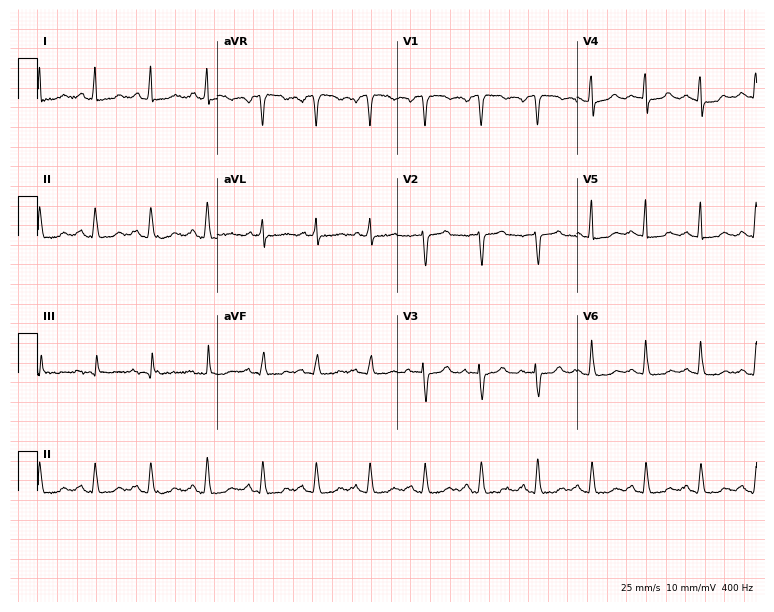
Resting 12-lead electrocardiogram. Patient: a woman, 77 years old. The tracing shows sinus tachycardia (a sinus rate of 100 beats per minute or more).